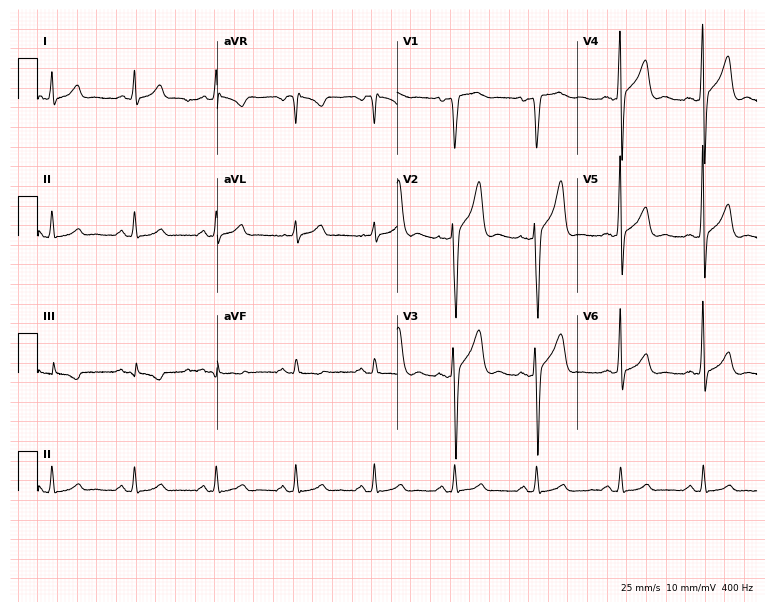
Standard 12-lead ECG recorded from a 37-year-old male patient (7.3-second recording at 400 Hz). Read as a normal ECG.